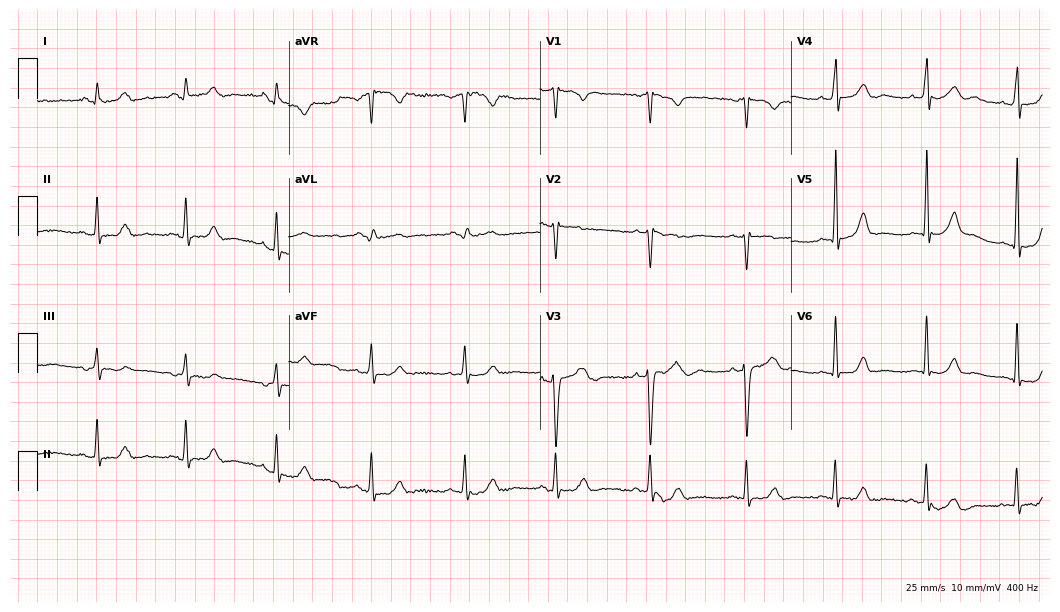
12-lead ECG from a male patient, 43 years old. Recorded interpretation: within normal limits.